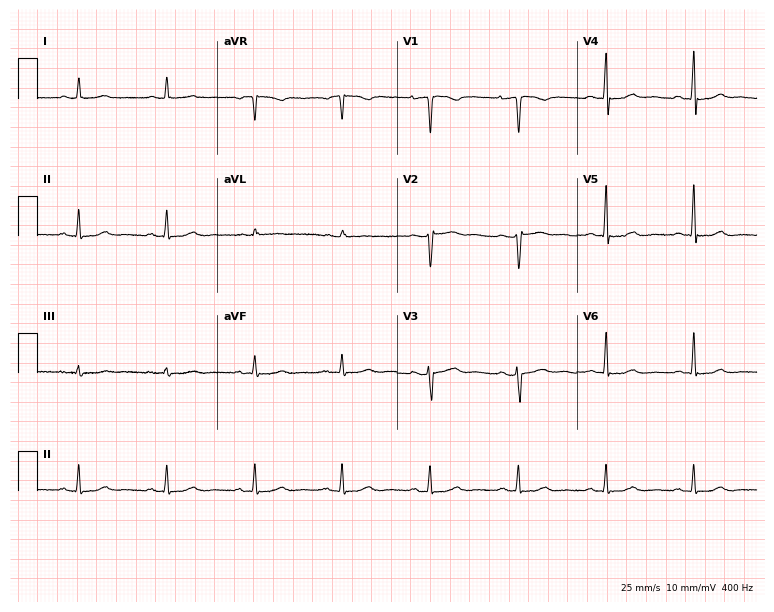
ECG (7.3-second recording at 400 Hz) — a female patient, 56 years old. Screened for six findings — first-degree AV block, right bundle branch block (RBBB), left bundle branch block (LBBB), sinus bradycardia, atrial fibrillation (AF), sinus tachycardia — none is recorded.